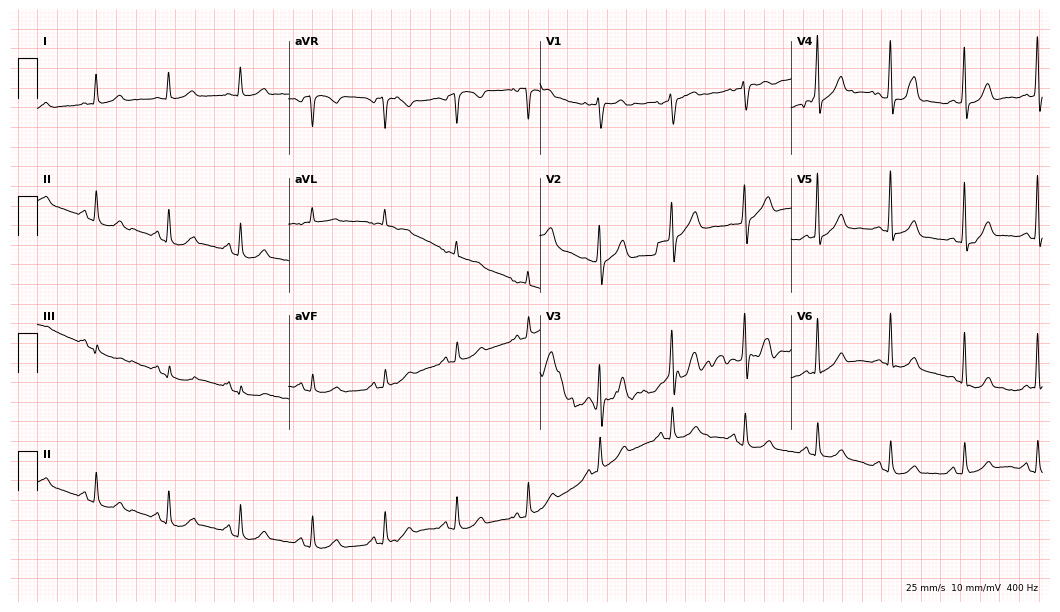
12-lead ECG from a man, 56 years old. Labelled as a normal ECG.